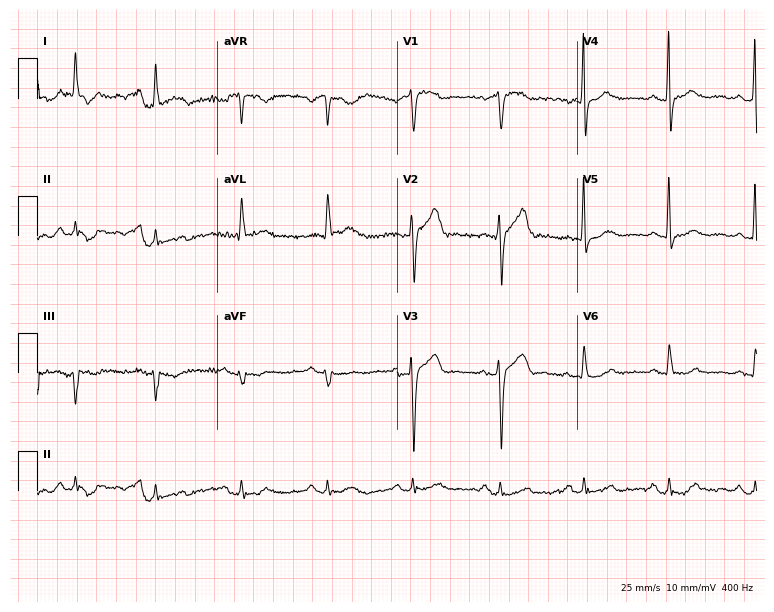
12-lead ECG (7.3-second recording at 400 Hz) from a man, 69 years old. Labelled as a normal ECG.